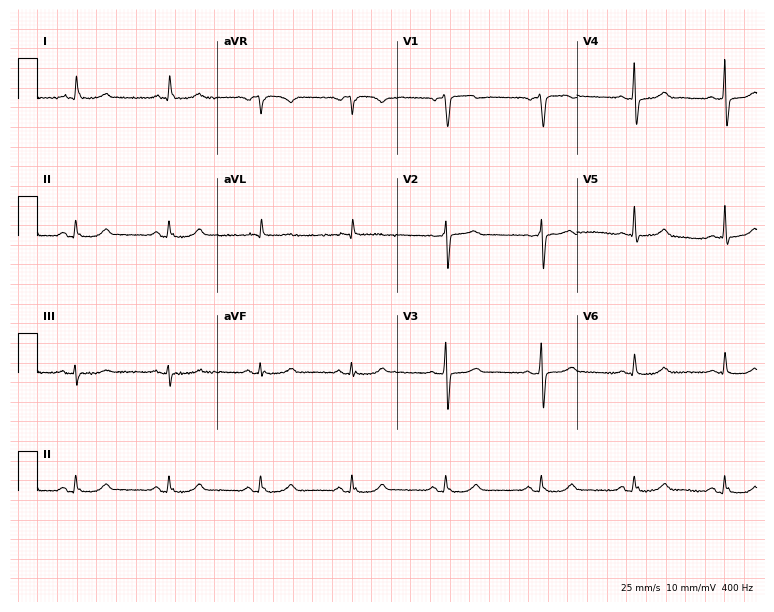
12-lead ECG (7.3-second recording at 400 Hz) from a 63-year-old man. Screened for six findings — first-degree AV block, right bundle branch block, left bundle branch block, sinus bradycardia, atrial fibrillation, sinus tachycardia — none is recorded.